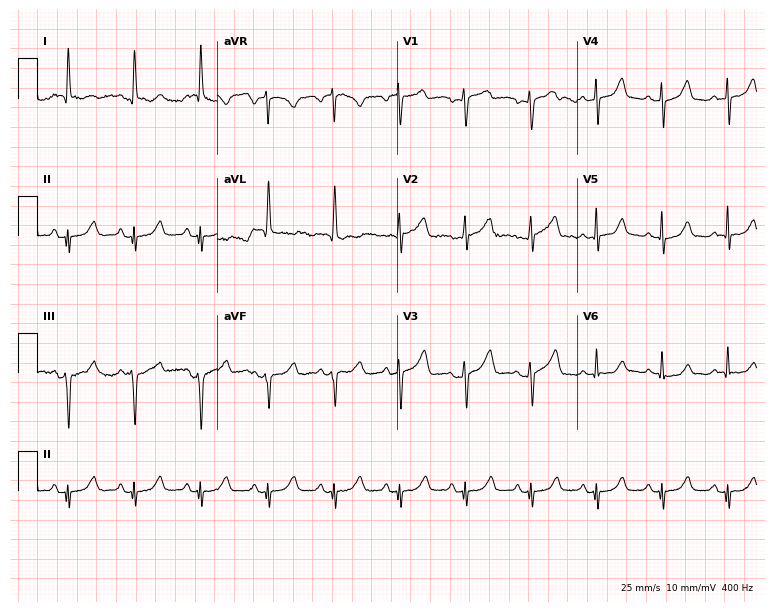
12-lead ECG from a 58-year-old female patient. No first-degree AV block, right bundle branch block, left bundle branch block, sinus bradycardia, atrial fibrillation or sinus tachycardia recorded for this tracing.